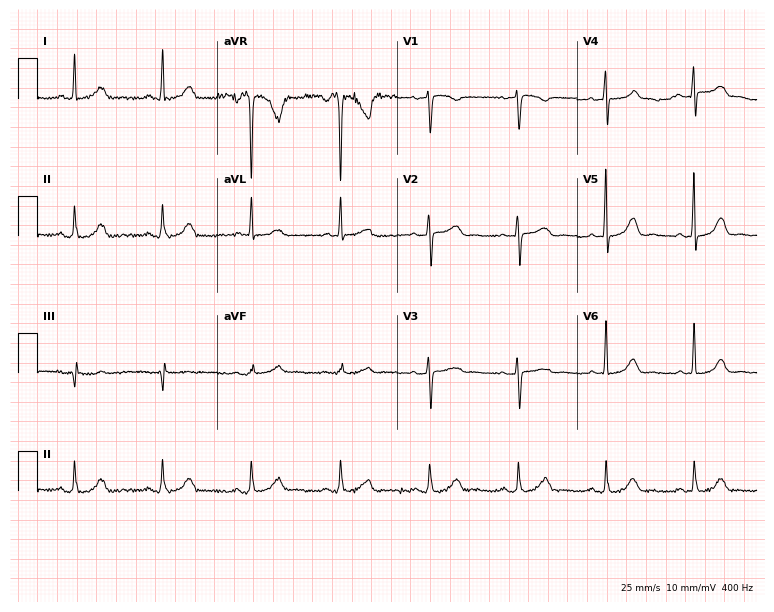
12-lead ECG from a female, 72 years old (7.3-second recording at 400 Hz). Recorded interpretation: within normal limits.